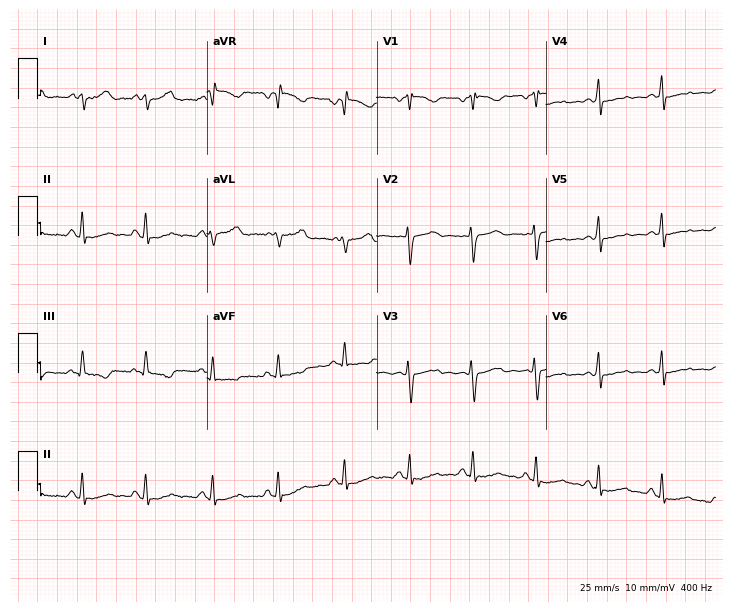
ECG — a female patient, 27 years old. Screened for six findings — first-degree AV block, right bundle branch block, left bundle branch block, sinus bradycardia, atrial fibrillation, sinus tachycardia — none is recorded. Only these six findings were labelled.